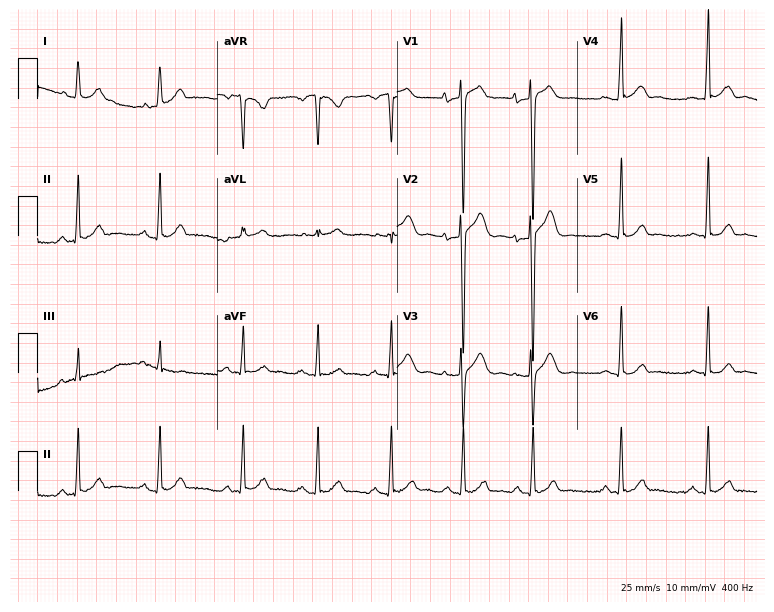
Standard 12-lead ECG recorded from a male, 18 years old (7.3-second recording at 400 Hz). Read as a normal ECG.